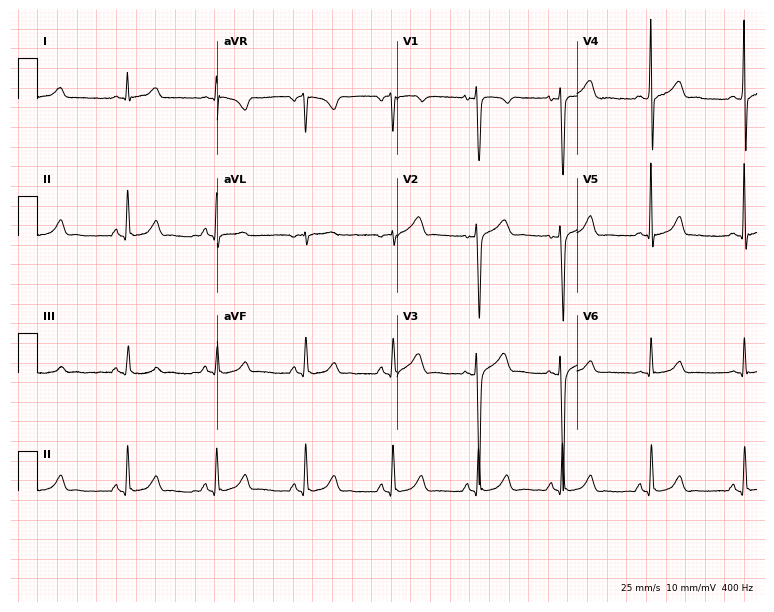
12-lead ECG (7.3-second recording at 400 Hz) from a man, 24 years old. Screened for six findings — first-degree AV block, right bundle branch block, left bundle branch block, sinus bradycardia, atrial fibrillation, sinus tachycardia — none is recorded. Findings outside these six are not listed.